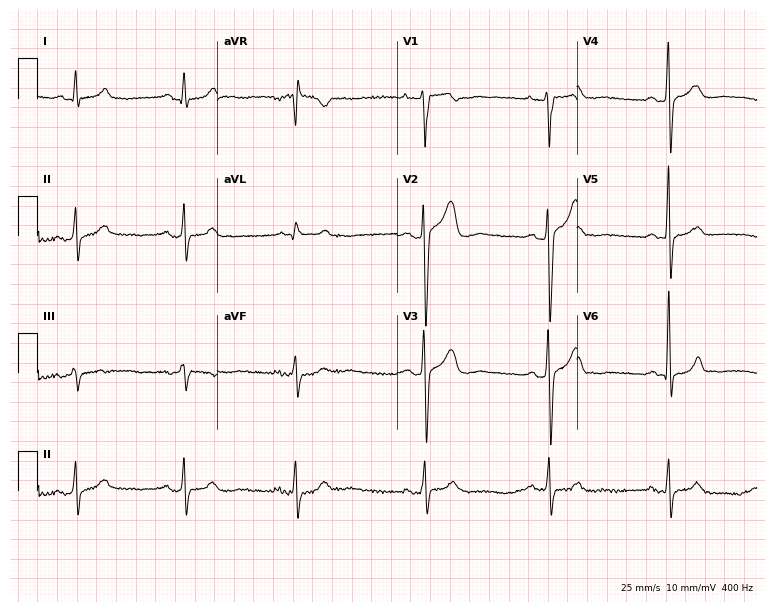
12-lead ECG from a 34-year-old male. Recorded interpretation: within normal limits.